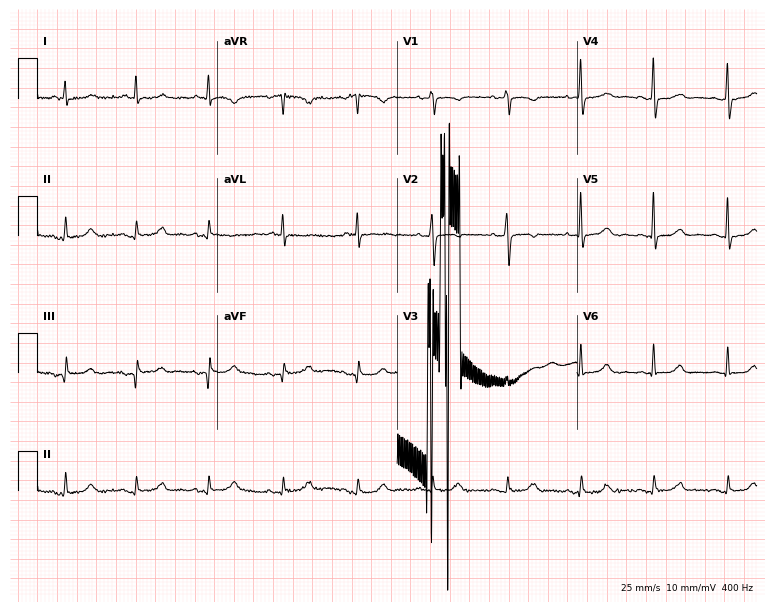
Standard 12-lead ECG recorded from an 83-year-old female (7.3-second recording at 400 Hz). Read as a normal ECG.